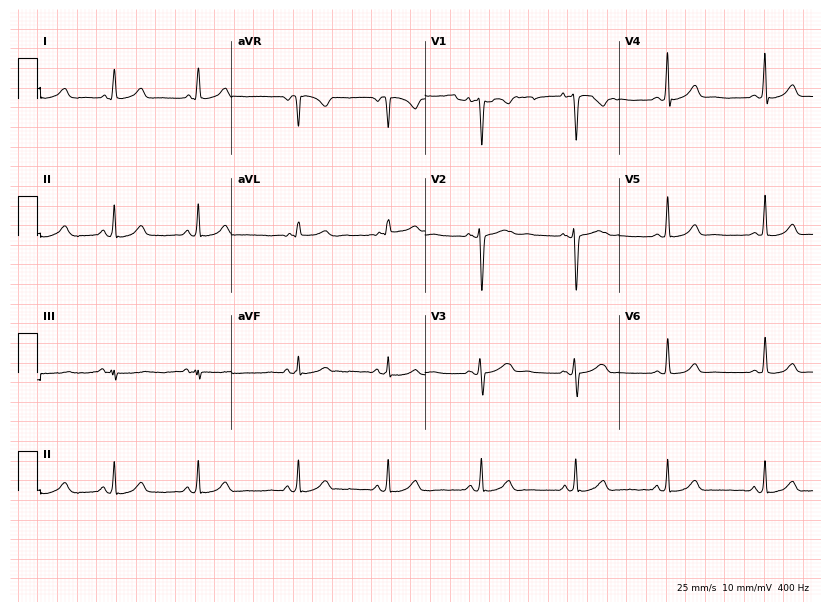
Electrocardiogram (7.9-second recording at 400 Hz), a female patient, 17 years old. Of the six screened findings (first-degree AV block, right bundle branch block, left bundle branch block, sinus bradycardia, atrial fibrillation, sinus tachycardia), none is recorded. Findings outside these six are not listed.